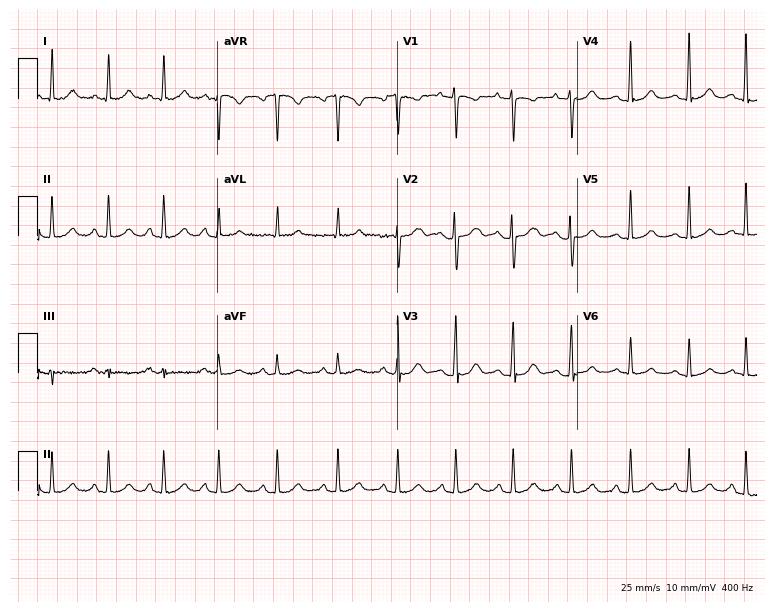
ECG (7.3-second recording at 400 Hz) — a 26-year-old female. Findings include sinus tachycardia (a sinus rate of 100 beats per minute or more).